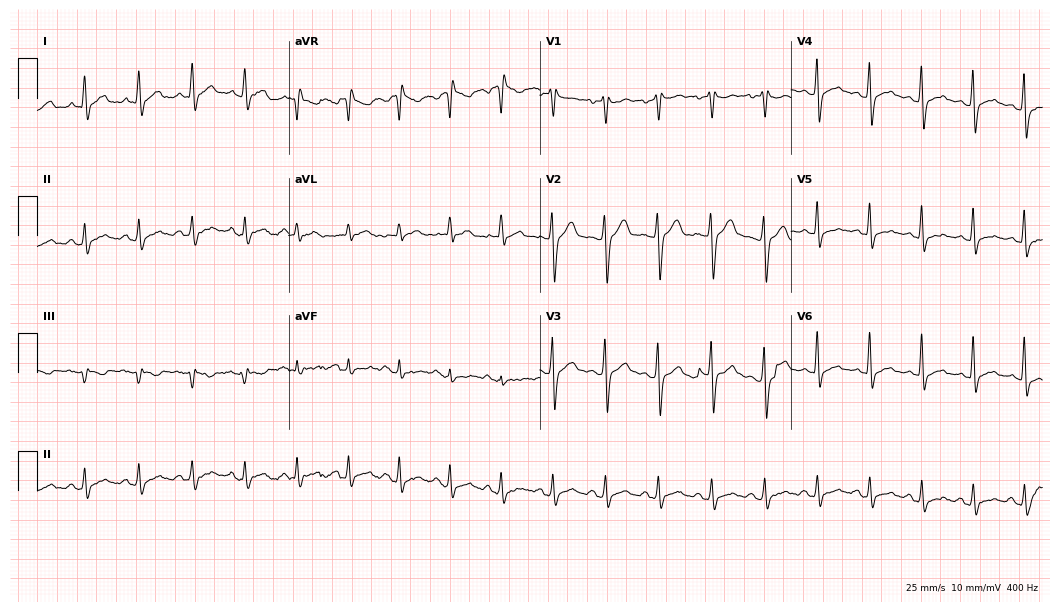
Resting 12-lead electrocardiogram (10.2-second recording at 400 Hz). Patient: a 31-year-old male. The tracing shows sinus tachycardia (a sinus rate of 100 beats per minute or more).